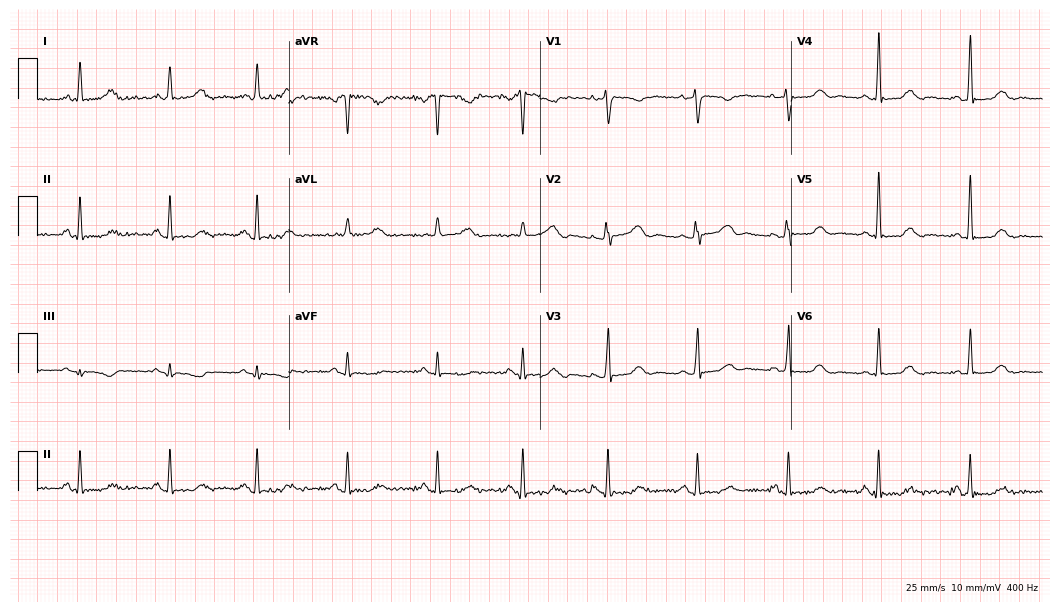
Standard 12-lead ECG recorded from a 54-year-old woman (10.2-second recording at 400 Hz). None of these six findings is recorded: first-degree AV block, right bundle branch block, left bundle branch block, sinus bradycardia, atrial fibrillation, sinus tachycardia.